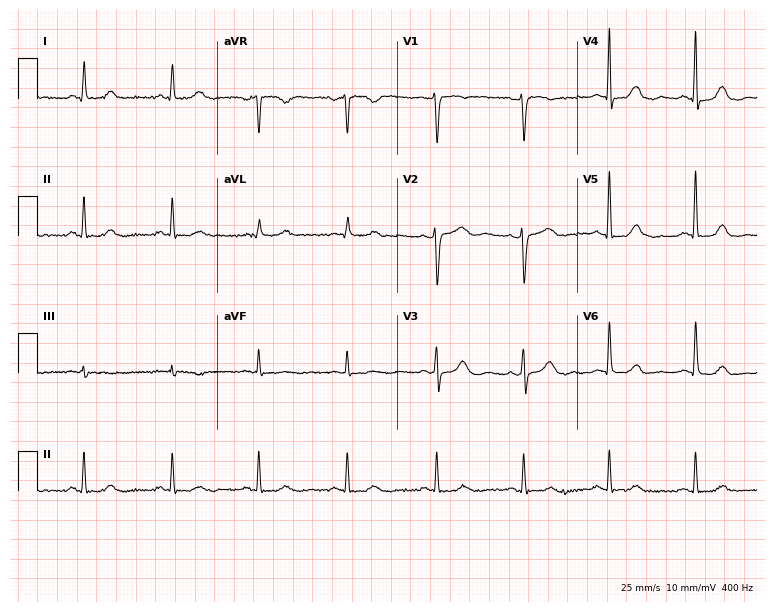
ECG (7.3-second recording at 400 Hz) — a woman, 58 years old. Labelled as a normal ECG.